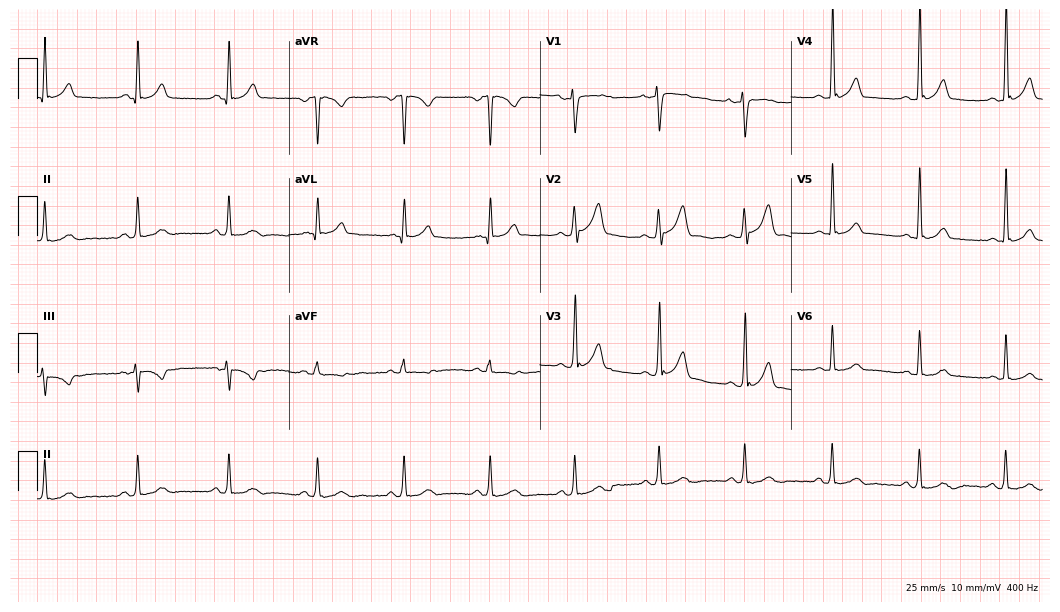
Resting 12-lead electrocardiogram (10.2-second recording at 400 Hz). Patient: a 33-year-old male. Read as a normal ECG.